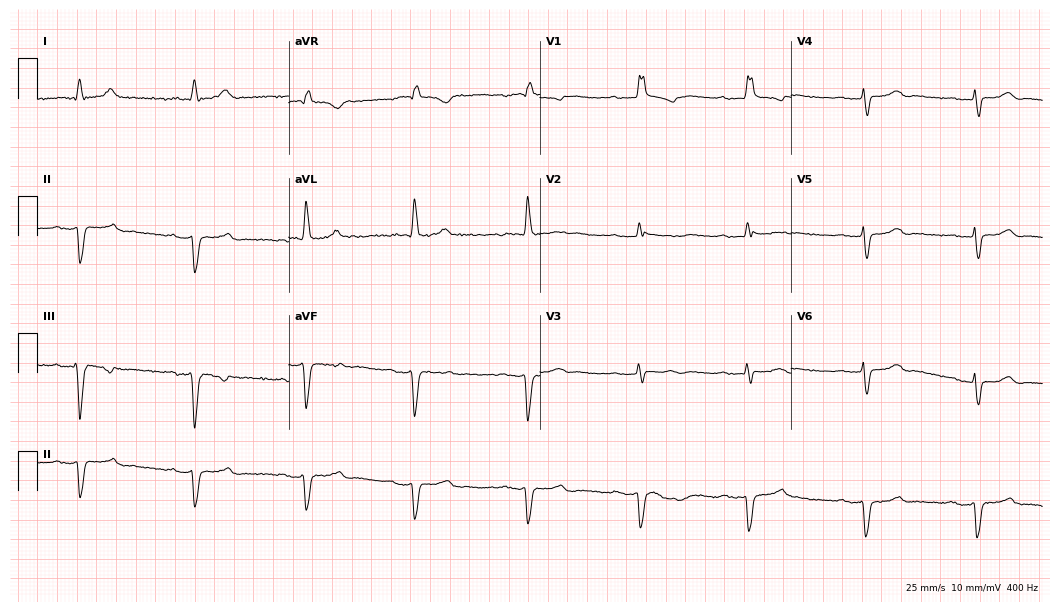
Resting 12-lead electrocardiogram (10.2-second recording at 400 Hz). Patient: a female, 46 years old. The tracing shows first-degree AV block, right bundle branch block.